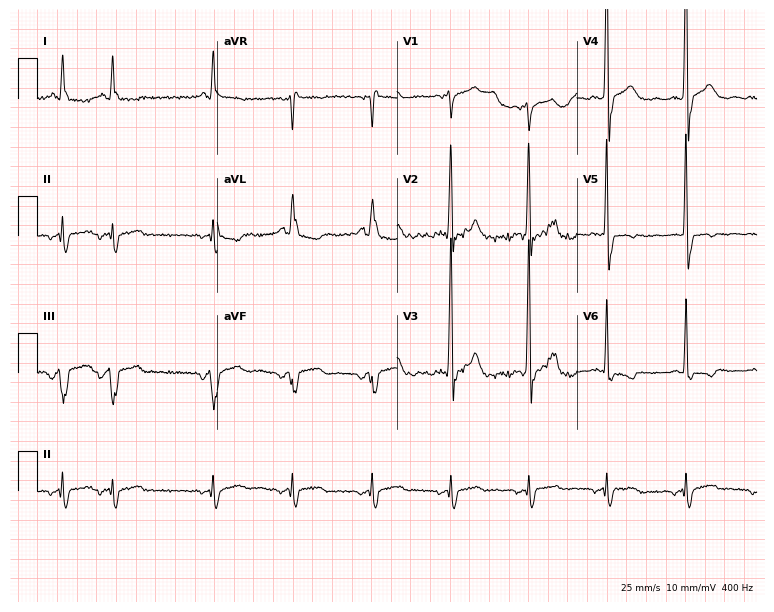
12-lead ECG from a male patient, 59 years old. Screened for six findings — first-degree AV block, right bundle branch block, left bundle branch block, sinus bradycardia, atrial fibrillation, sinus tachycardia — none is recorded.